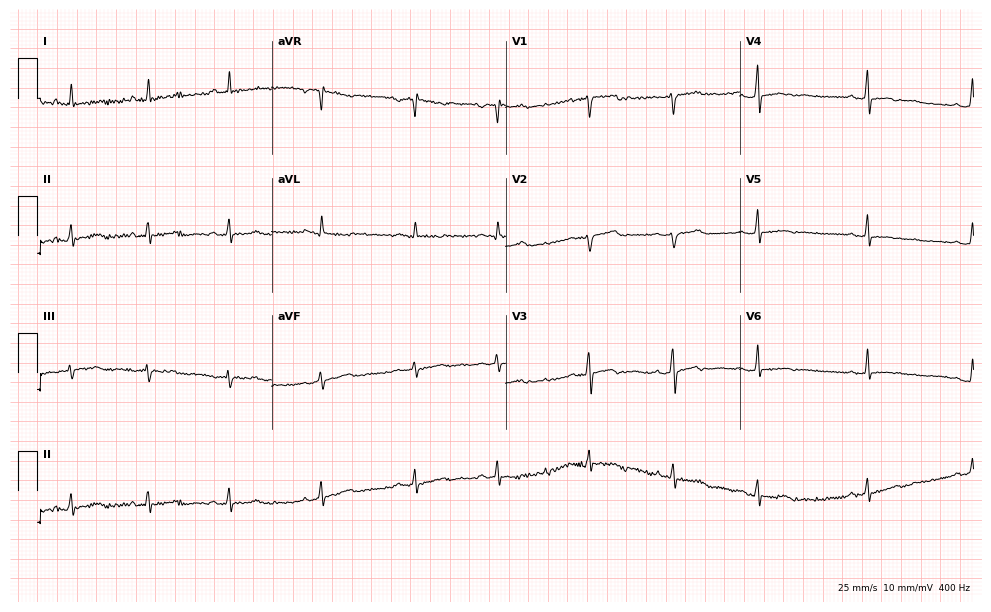
Resting 12-lead electrocardiogram. Patient: a female, 31 years old. None of these six findings is recorded: first-degree AV block, right bundle branch block (RBBB), left bundle branch block (LBBB), sinus bradycardia, atrial fibrillation (AF), sinus tachycardia.